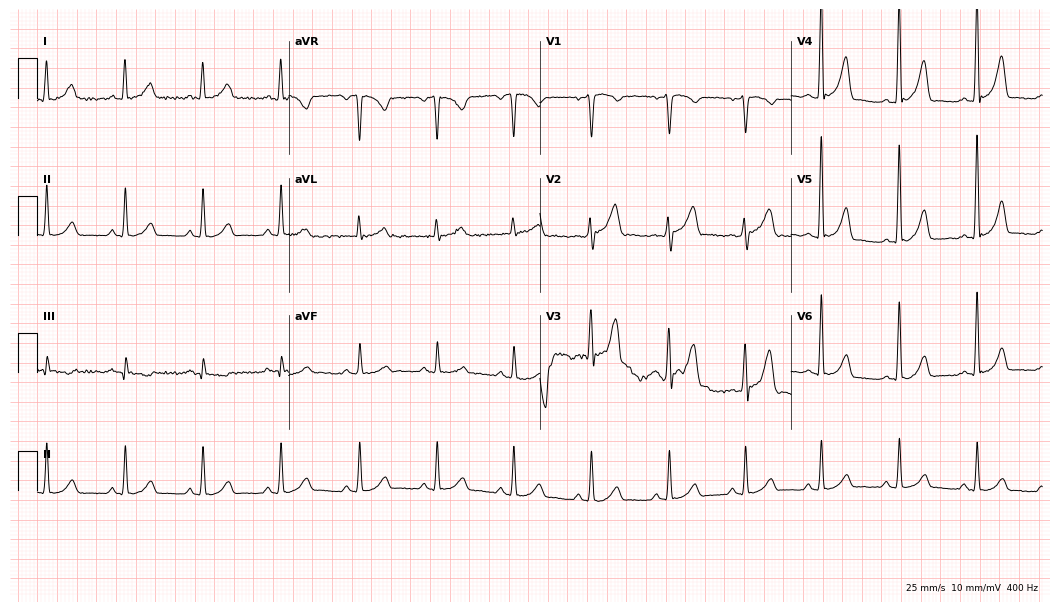
12-lead ECG from a man, 52 years old. Labelled as a normal ECG.